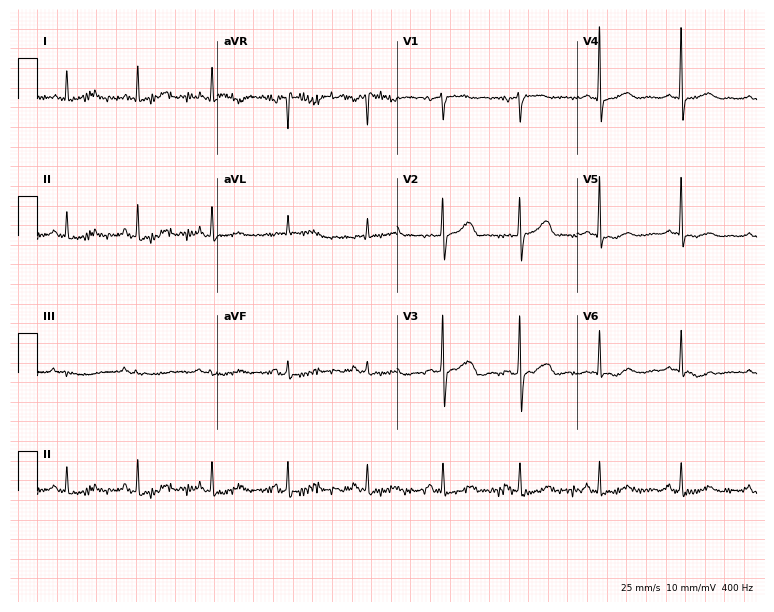
Electrocardiogram, a female, 72 years old. Overall reading on record: normal ECG.